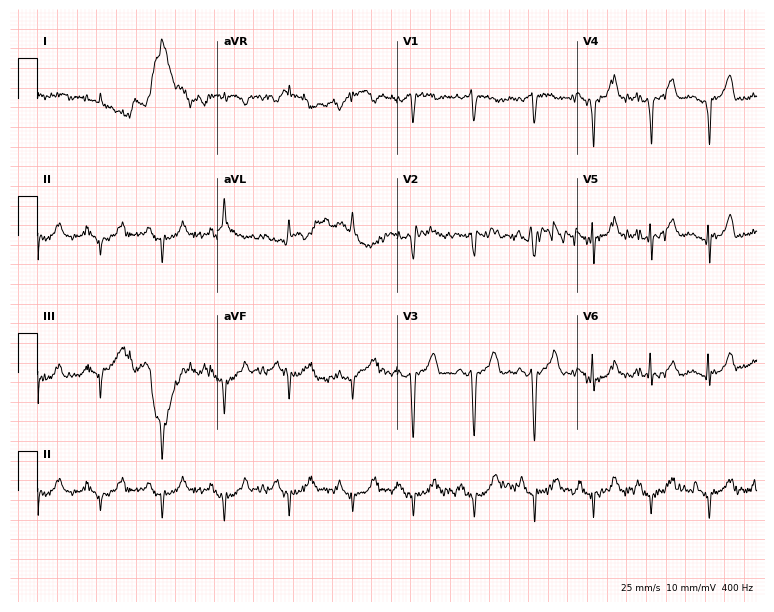
Standard 12-lead ECG recorded from a 74-year-old female patient. None of these six findings is recorded: first-degree AV block, right bundle branch block (RBBB), left bundle branch block (LBBB), sinus bradycardia, atrial fibrillation (AF), sinus tachycardia.